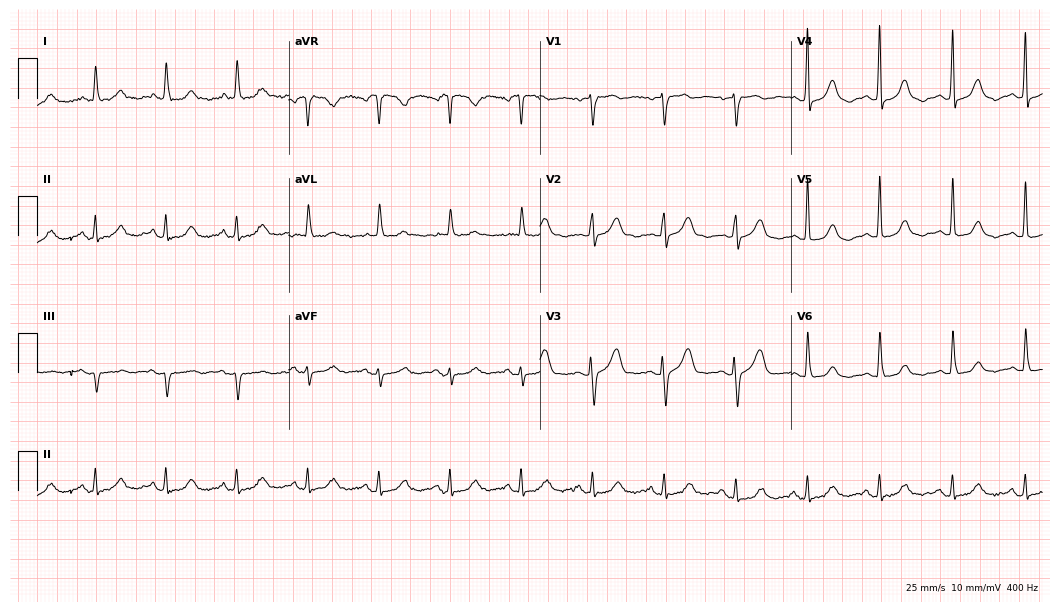
Electrocardiogram, an 81-year-old female patient. Of the six screened findings (first-degree AV block, right bundle branch block, left bundle branch block, sinus bradycardia, atrial fibrillation, sinus tachycardia), none is recorded. Other findings, if any, are not listed.